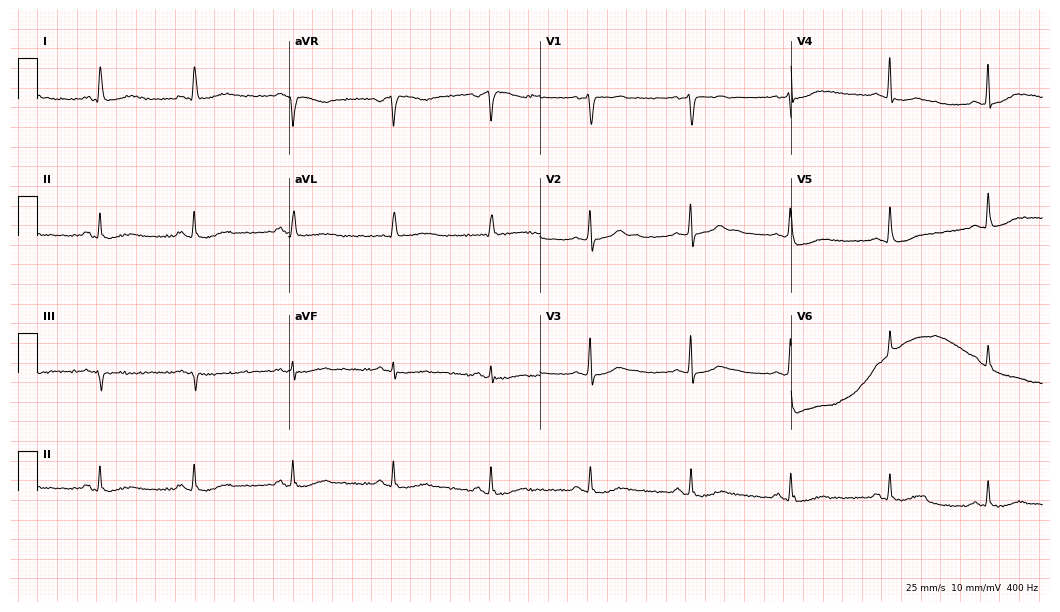
Resting 12-lead electrocardiogram (10.2-second recording at 400 Hz). Patient: a man, 63 years old. Read as a normal ECG.